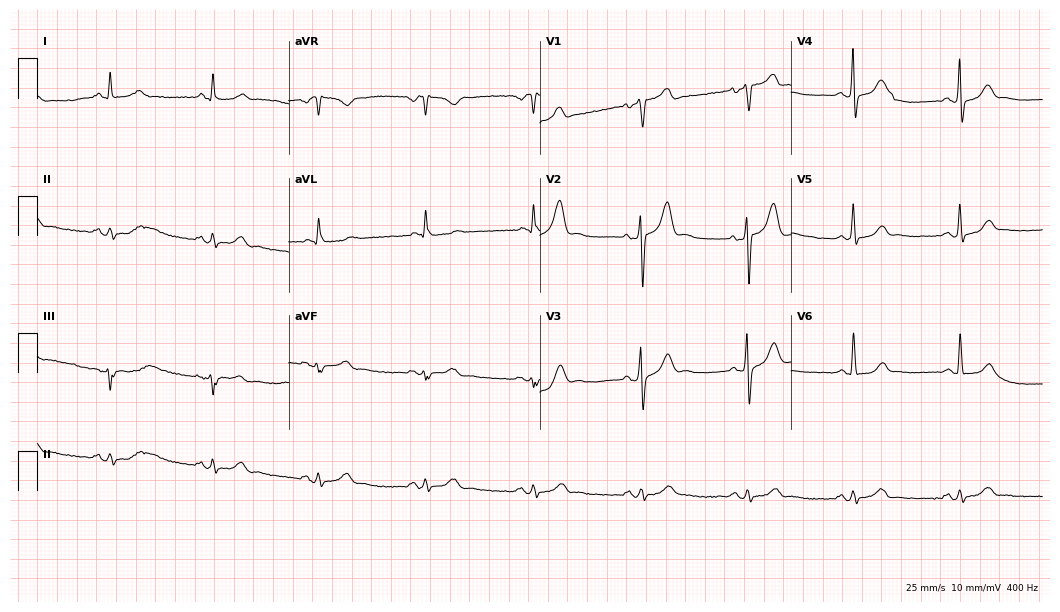
12-lead ECG (10.2-second recording at 400 Hz) from a male patient, 61 years old. Labelled as a normal ECG.